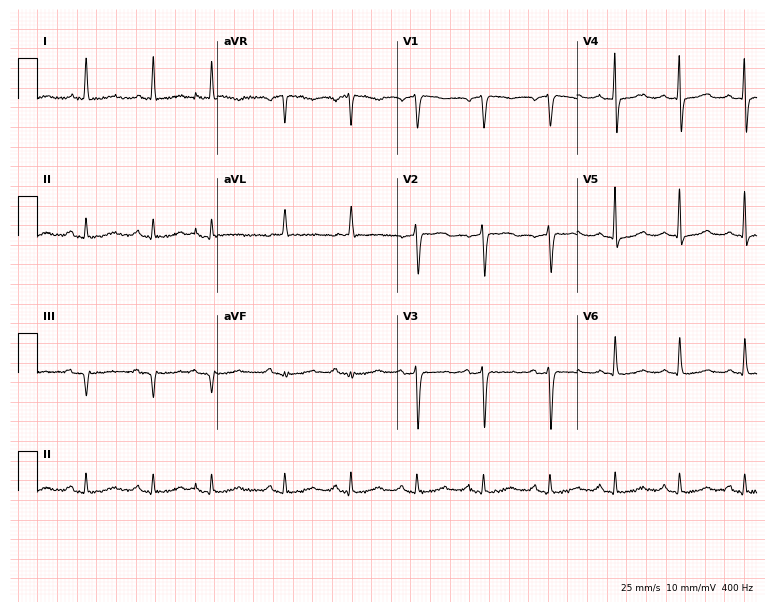
ECG (7.3-second recording at 400 Hz) — a female patient, 85 years old. Screened for six findings — first-degree AV block, right bundle branch block (RBBB), left bundle branch block (LBBB), sinus bradycardia, atrial fibrillation (AF), sinus tachycardia — none is recorded. Findings outside these six are not listed.